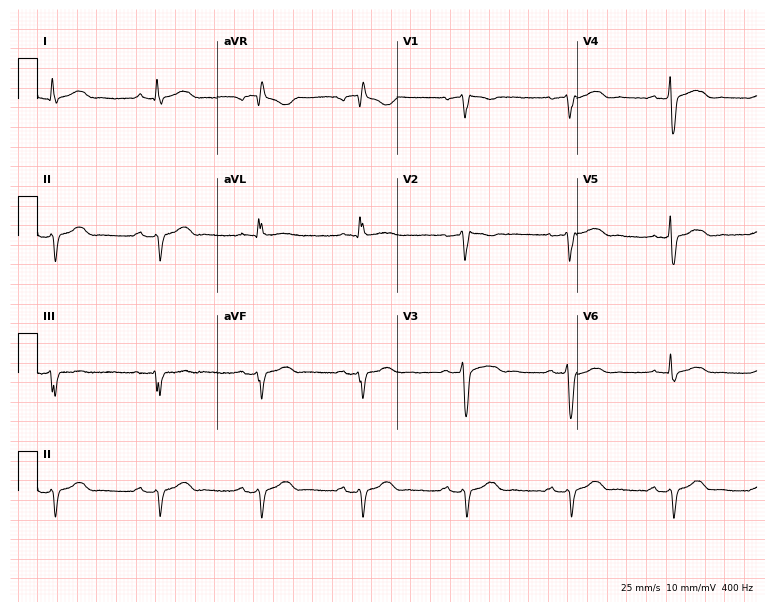
Electrocardiogram (7.3-second recording at 400 Hz), a male patient, 67 years old. Interpretation includes right bundle branch block.